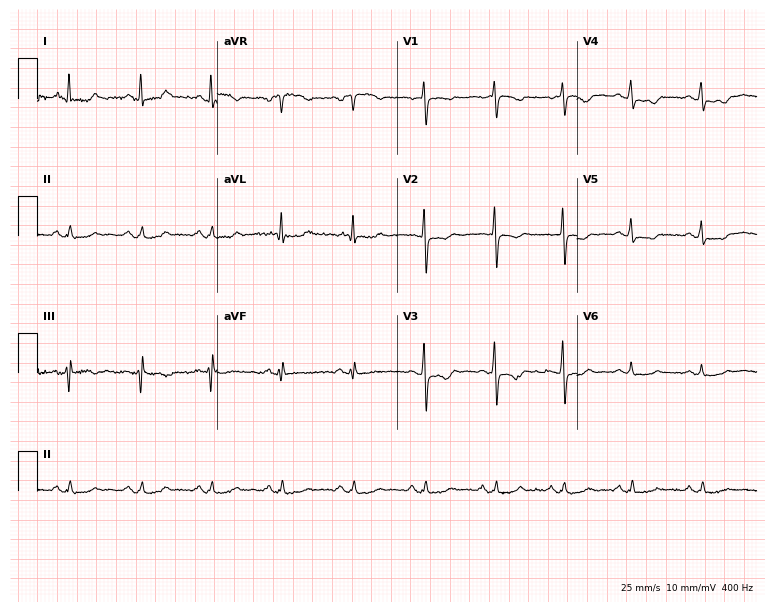
Electrocardiogram, a 60-year-old female. Of the six screened findings (first-degree AV block, right bundle branch block, left bundle branch block, sinus bradycardia, atrial fibrillation, sinus tachycardia), none is recorded. Findings outside these six are not listed.